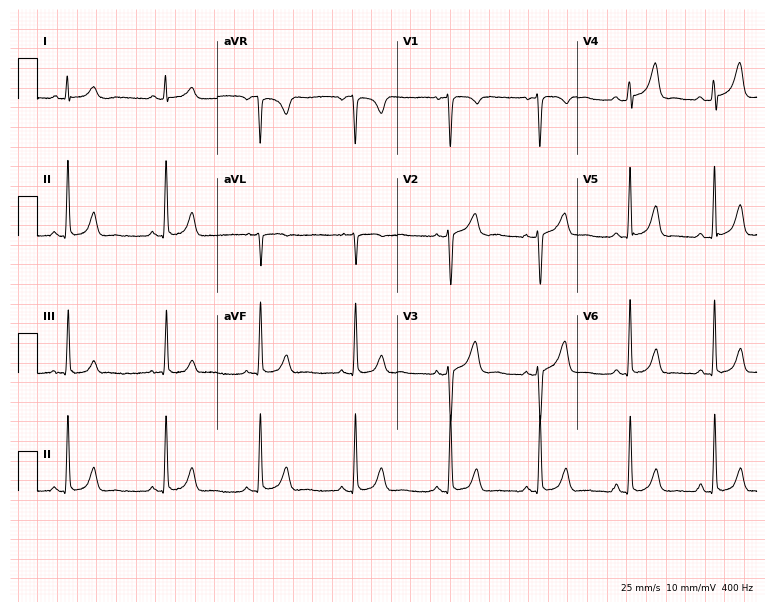
12-lead ECG (7.3-second recording at 400 Hz) from a 38-year-old female patient. Screened for six findings — first-degree AV block, right bundle branch block, left bundle branch block, sinus bradycardia, atrial fibrillation, sinus tachycardia — none is recorded.